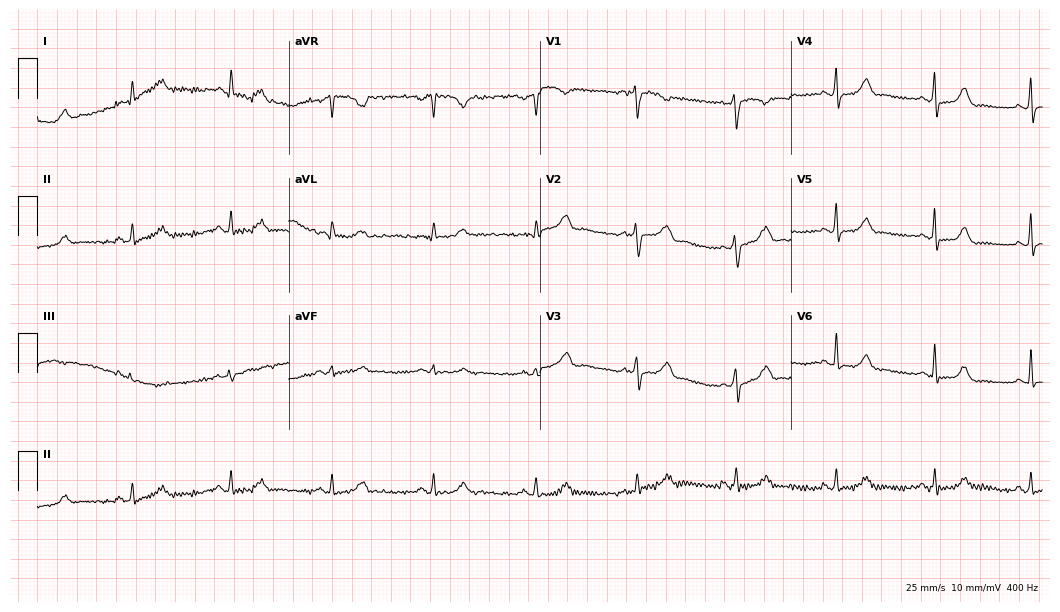
Electrocardiogram (10.2-second recording at 400 Hz), a woman, 48 years old. Overall reading on record: normal ECG.